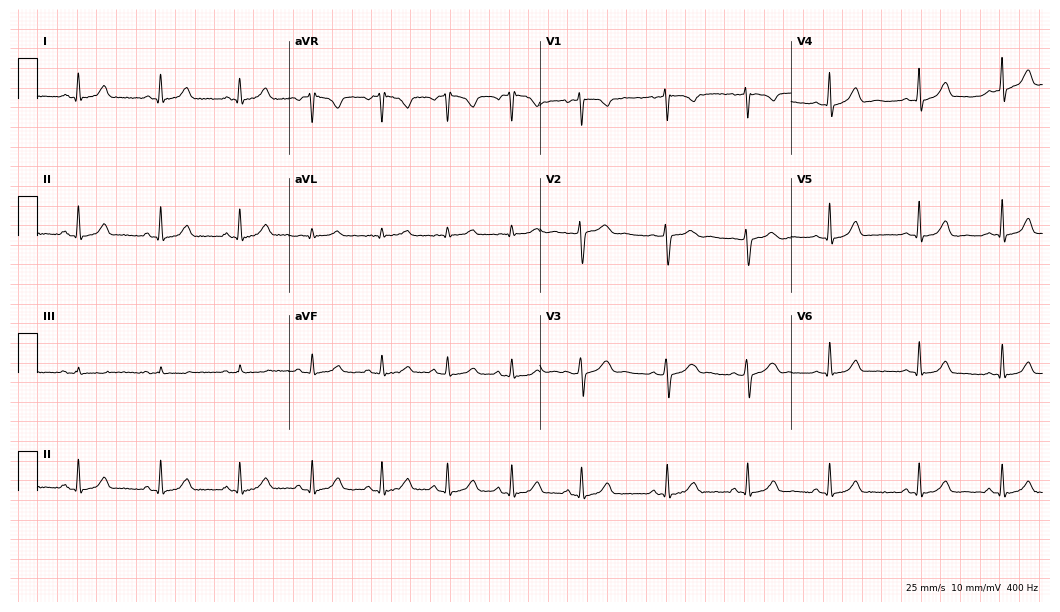
12-lead ECG from a 21-year-old woman (10.2-second recording at 400 Hz). Recorded interpretation: within normal limits.